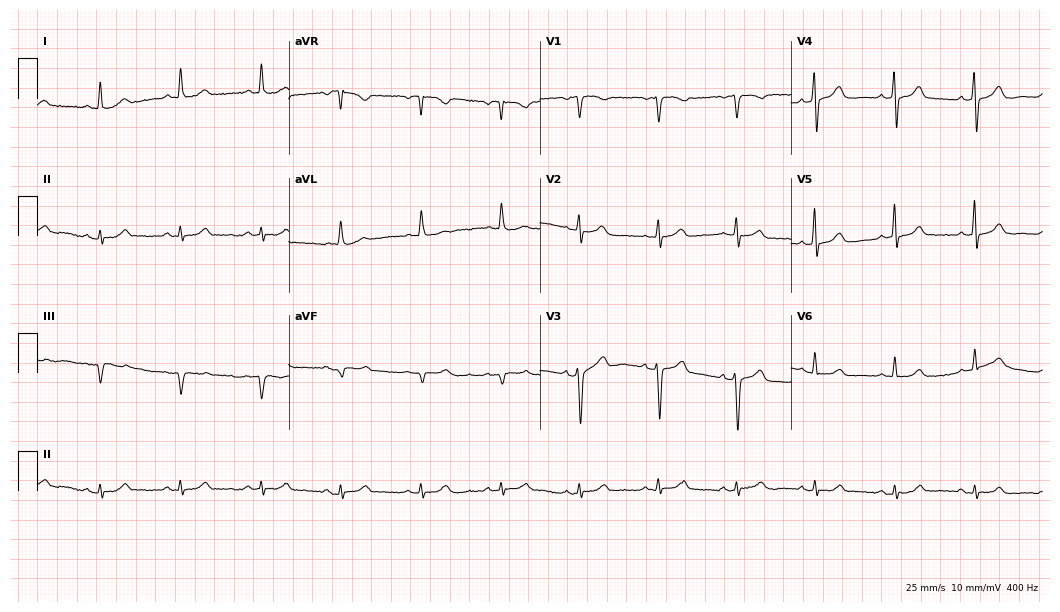
12-lead ECG from a male, 68 years old. Recorded interpretation: within normal limits.